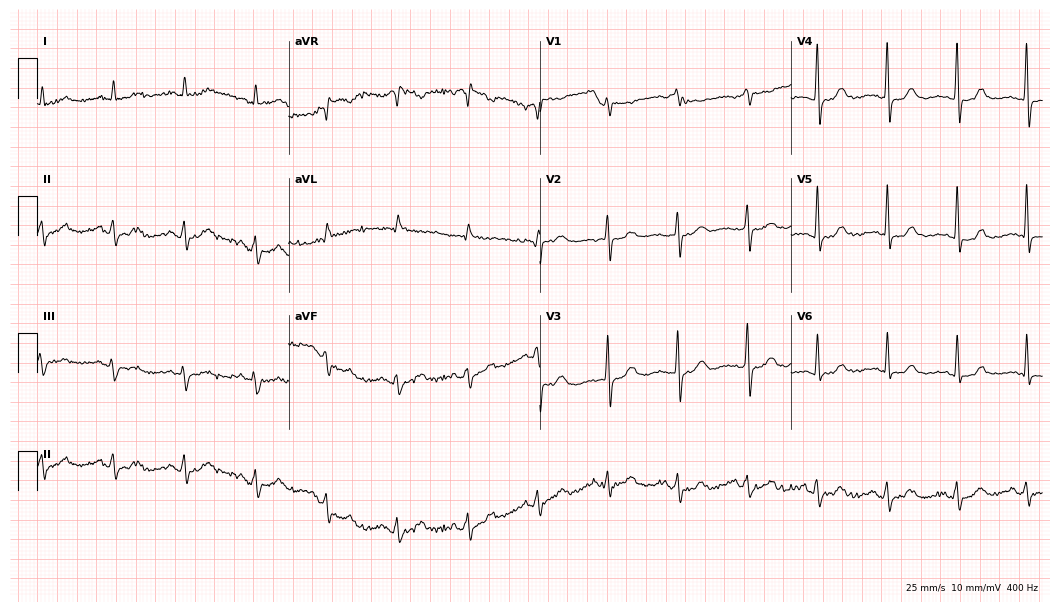
12-lead ECG from a 73-year-old male patient (10.2-second recording at 400 Hz). No first-degree AV block, right bundle branch block, left bundle branch block, sinus bradycardia, atrial fibrillation or sinus tachycardia recorded for this tracing. Findings outside these six are not listed.